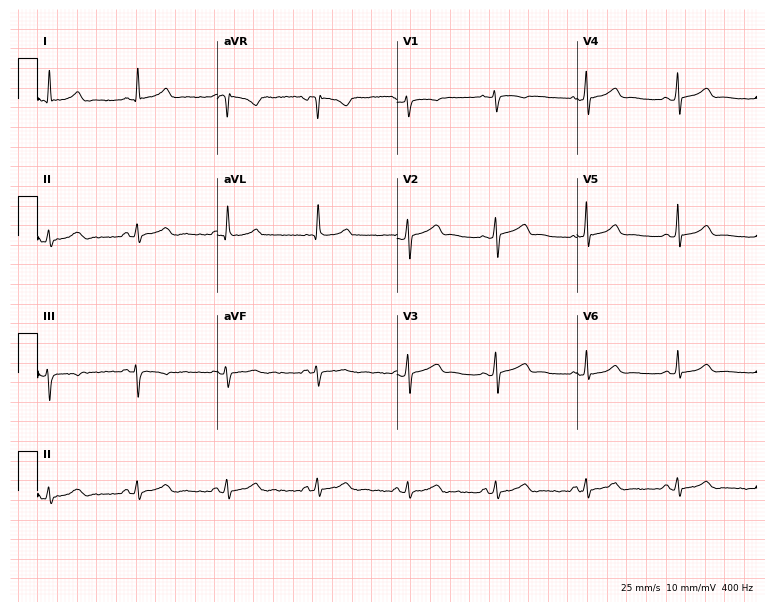
Resting 12-lead electrocardiogram. Patient: a 44-year-old woman. None of these six findings is recorded: first-degree AV block, right bundle branch block, left bundle branch block, sinus bradycardia, atrial fibrillation, sinus tachycardia. Other findings, if any, are not listed.